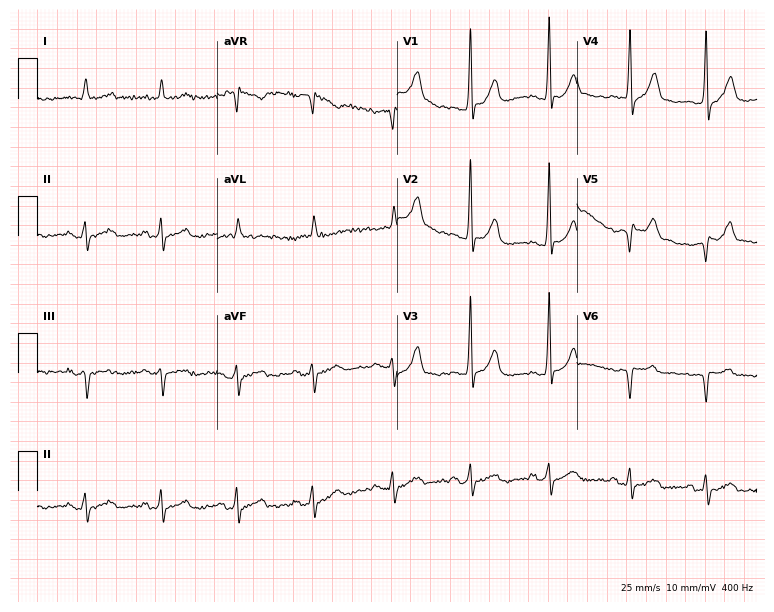
Electrocardiogram (7.3-second recording at 400 Hz), an 84-year-old male patient. Of the six screened findings (first-degree AV block, right bundle branch block, left bundle branch block, sinus bradycardia, atrial fibrillation, sinus tachycardia), none is recorded.